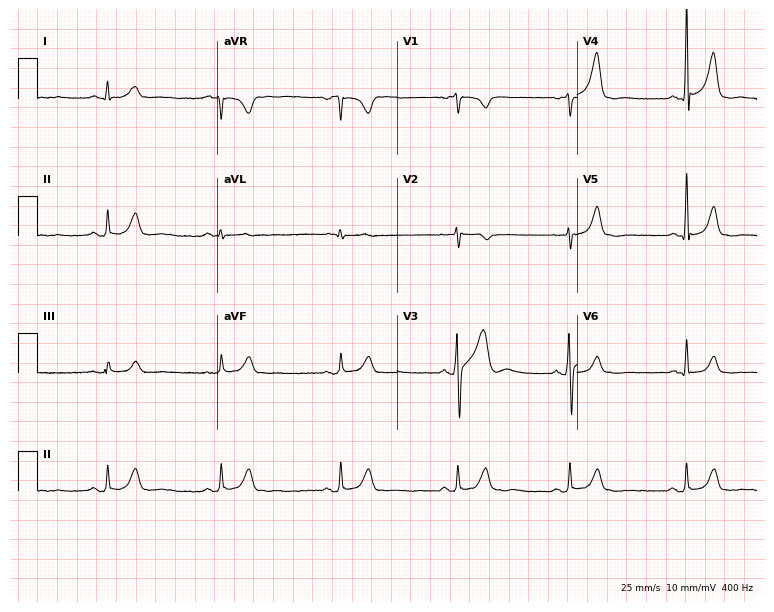
ECG (7.3-second recording at 400 Hz) — a 39-year-old male. Findings include sinus bradycardia (a sinus rate of 50 beats per minute or less).